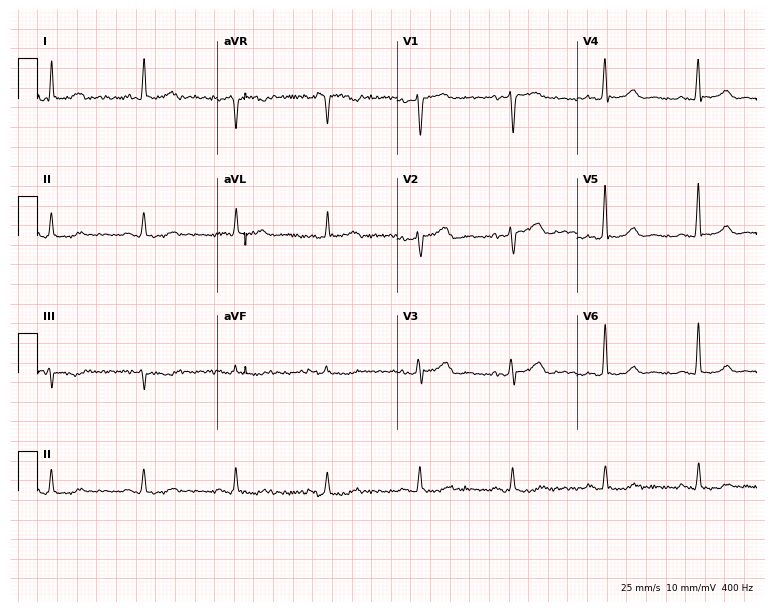
Resting 12-lead electrocardiogram (7.3-second recording at 400 Hz). Patient: a female, 59 years old. None of these six findings is recorded: first-degree AV block, right bundle branch block, left bundle branch block, sinus bradycardia, atrial fibrillation, sinus tachycardia. Findings outside these six are not listed.